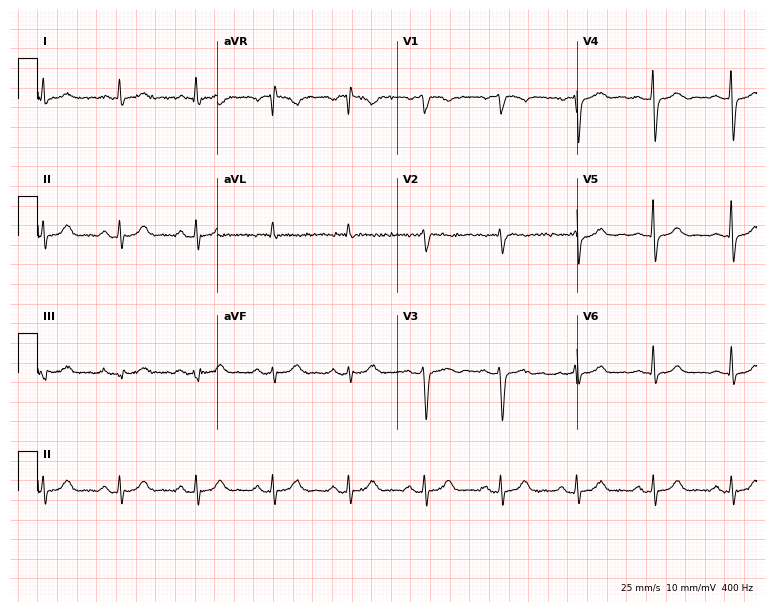
12-lead ECG from a man, 62 years old. Screened for six findings — first-degree AV block, right bundle branch block (RBBB), left bundle branch block (LBBB), sinus bradycardia, atrial fibrillation (AF), sinus tachycardia — none is recorded.